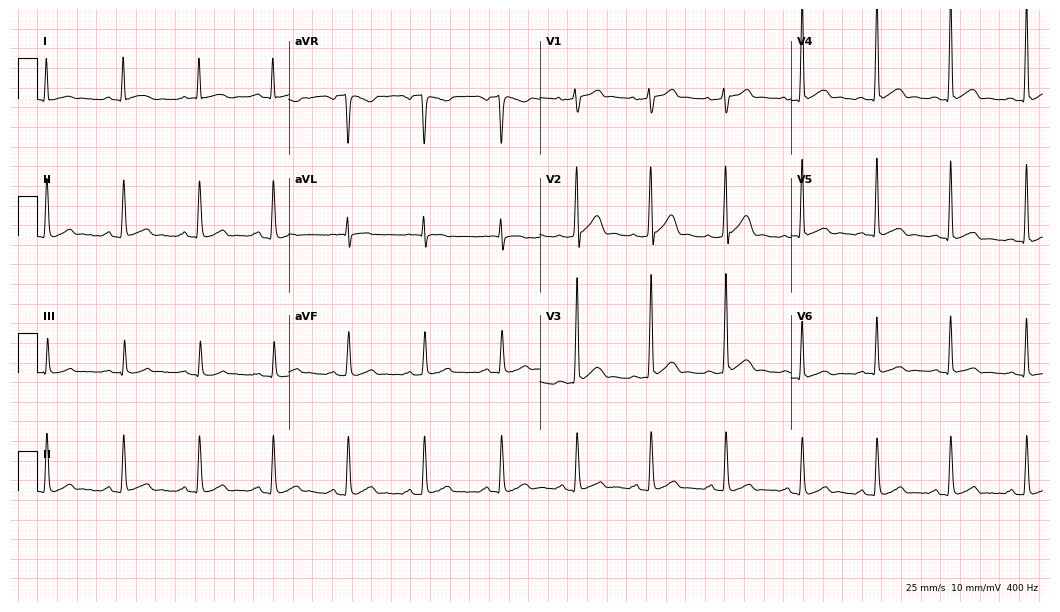
Standard 12-lead ECG recorded from a man, 25 years old (10.2-second recording at 400 Hz). Read as a normal ECG.